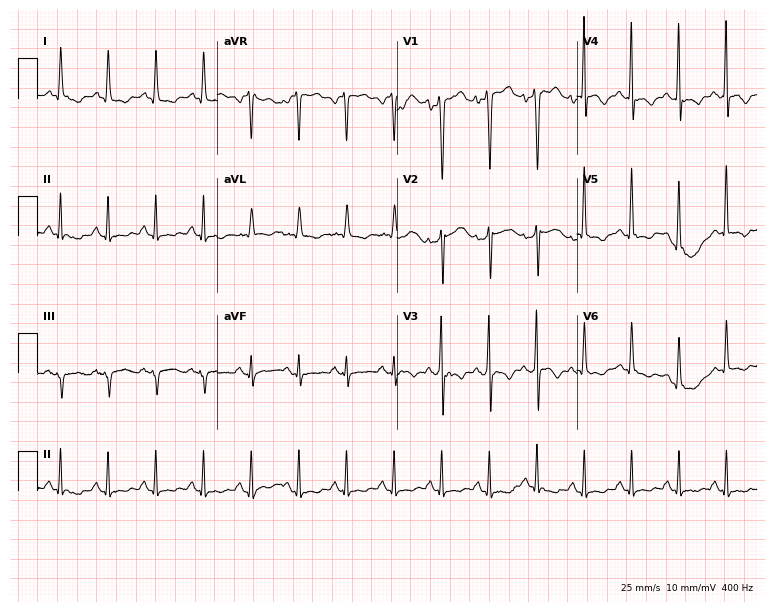
Electrocardiogram, a male, 38 years old. Interpretation includes sinus tachycardia (a sinus rate of 100 beats per minute or more).